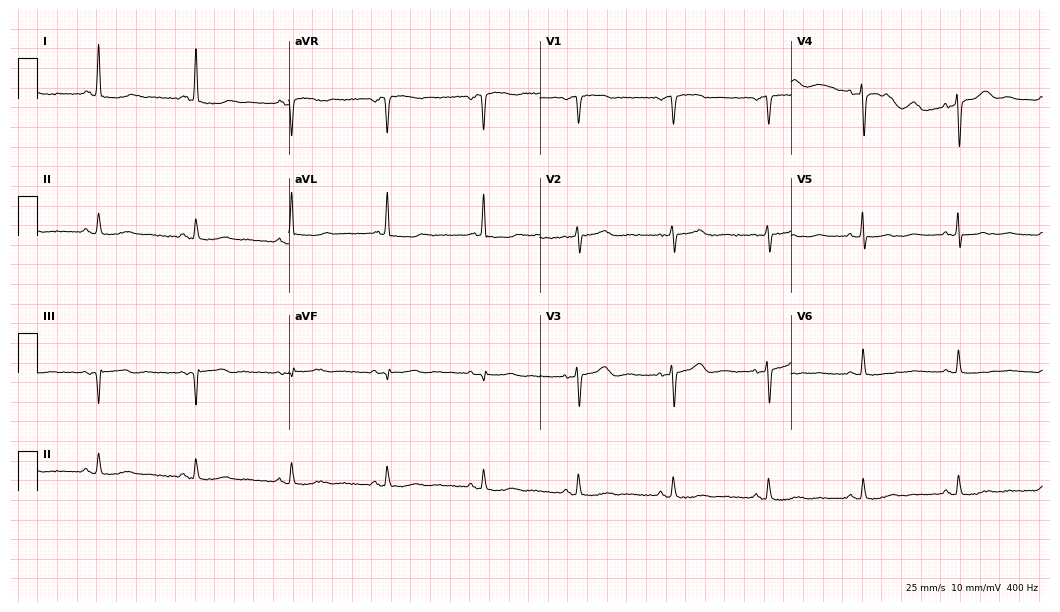
Electrocardiogram (10.2-second recording at 400 Hz), a woman, 68 years old. Of the six screened findings (first-degree AV block, right bundle branch block, left bundle branch block, sinus bradycardia, atrial fibrillation, sinus tachycardia), none is recorded. Findings outside these six are not listed.